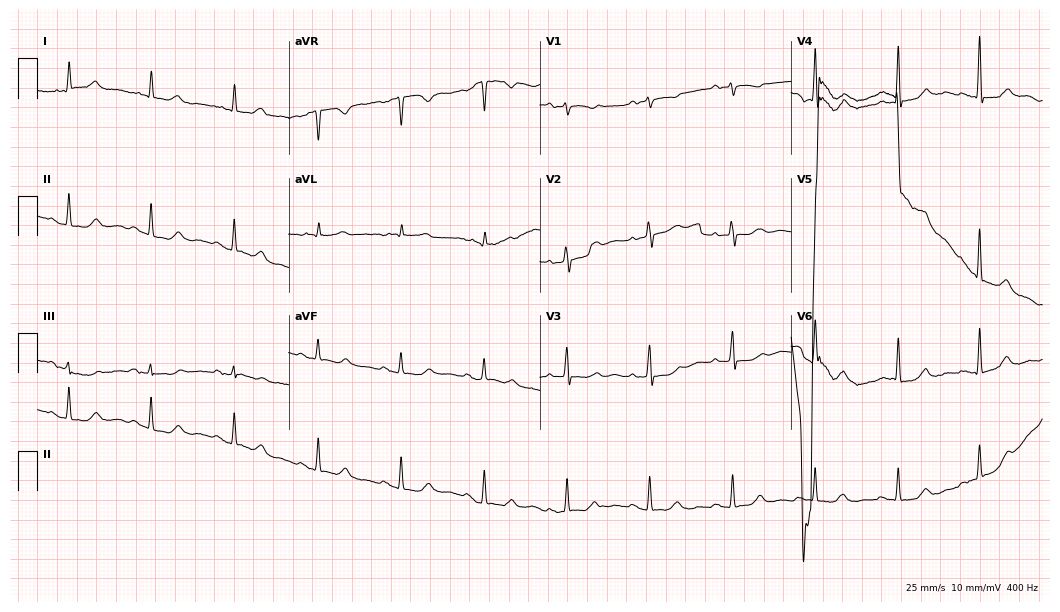
Electrocardiogram, an 80-year-old woman. Of the six screened findings (first-degree AV block, right bundle branch block (RBBB), left bundle branch block (LBBB), sinus bradycardia, atrial fibrillation (AF), sinus tachycardia), none is recorded. Only these six findings were labelled.